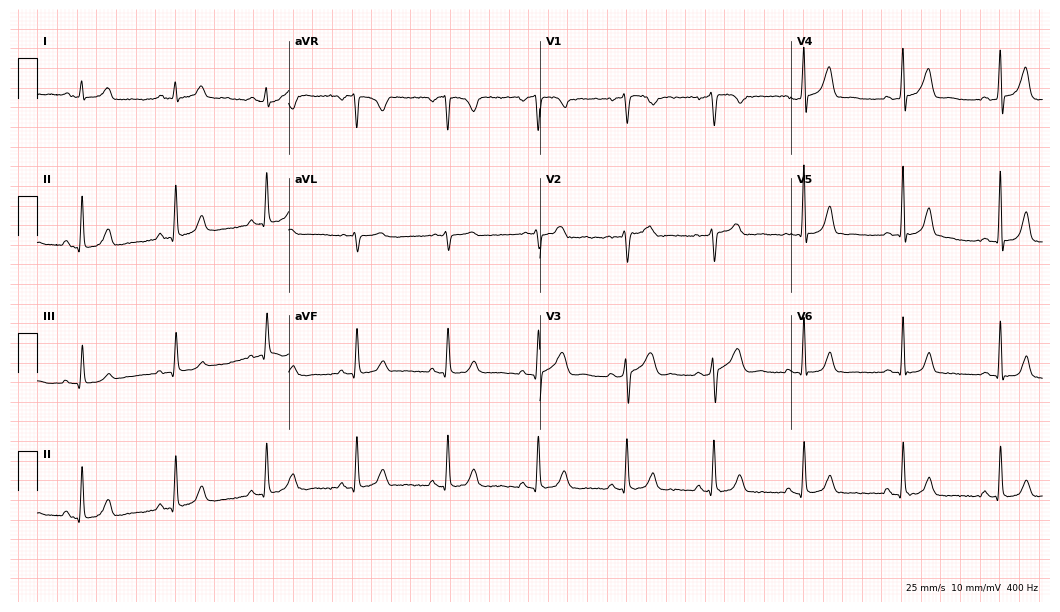
Standard 12-lead ECG recorded from a female patient, 41 years old. Read as a normal ECG.